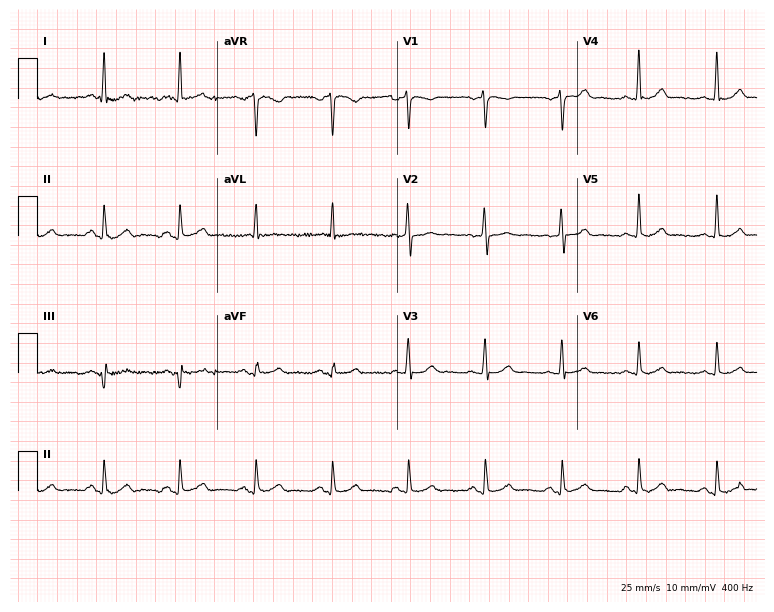
12-lead ECG (7.3-second recording at 400 Hz) from a 53-year-old male. Labelled as a normal ECG.